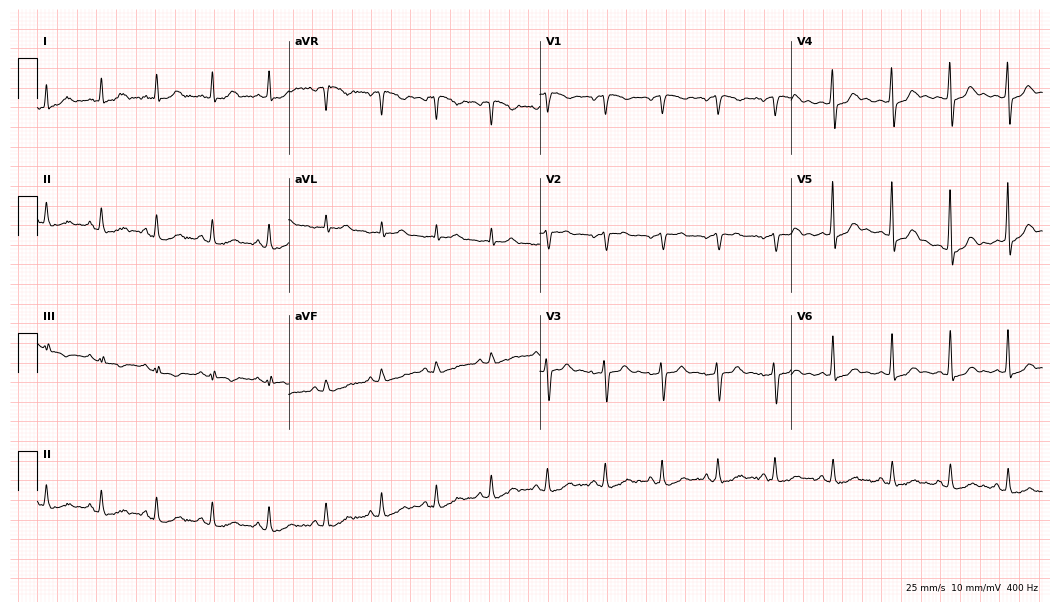
ECG (10.2-second recording at 400 Hz) — a female patient, 45 years old. Findings include sinus tachycardia (a sinus rate of 100 beats per minute or more).